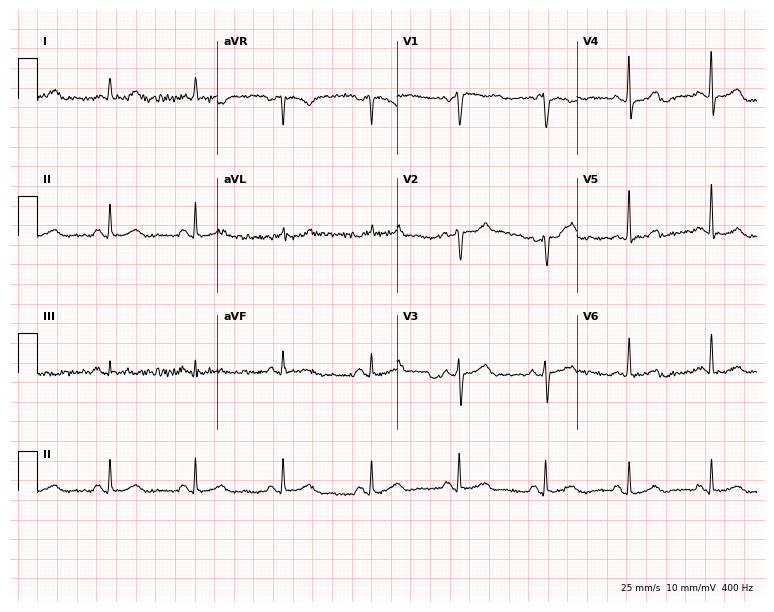
12-lead ECG from a male patient, 49 years old. No first-degree AV block, right bundle branch block (RBBB), left bundle branch block (LBBB), sinus bradycardia, atrial fibrillation (AF) or sinus tachycardia recorded for this tracing. Only these six findings were labelled.